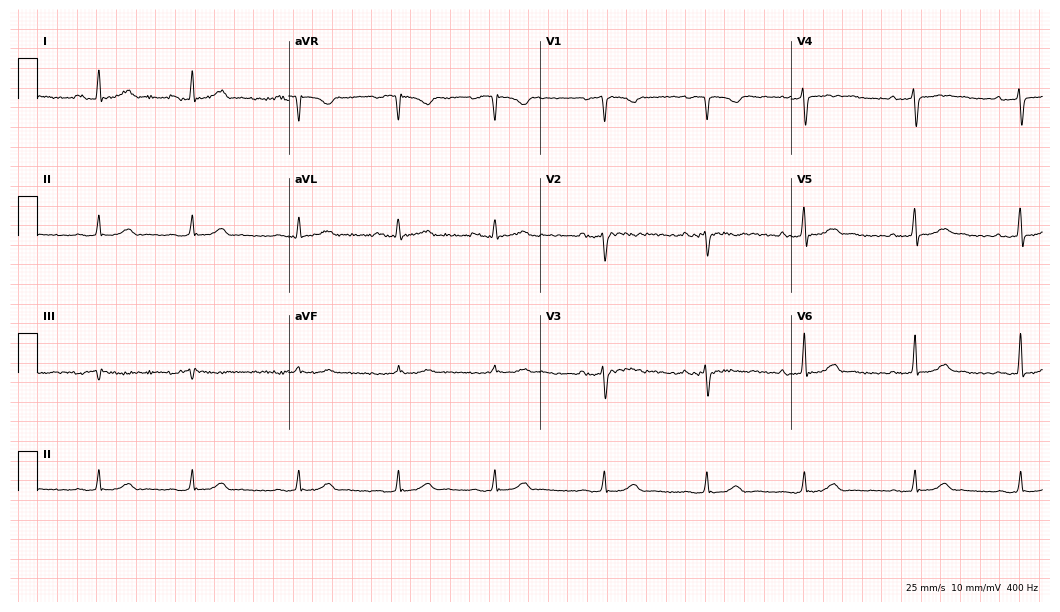
Electrocardiogram (10.2-second recording at 400 Hz), a 42-year-old female patient. Overall reading on record: normal ECG.